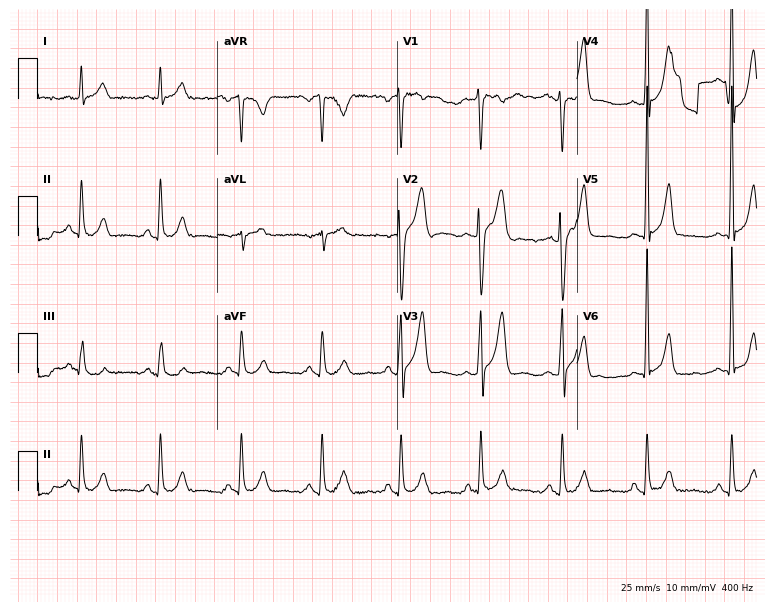
Resting 12-lead electrocardiogram. Patient: a male, 52 years old. None of these six findings is recorded: first-degree AV block, right bundle branch block (RBBB), left bundle branch block (LBBB), sinus bradycardia, atrial fibrillation (AF), sinus tachycardia.